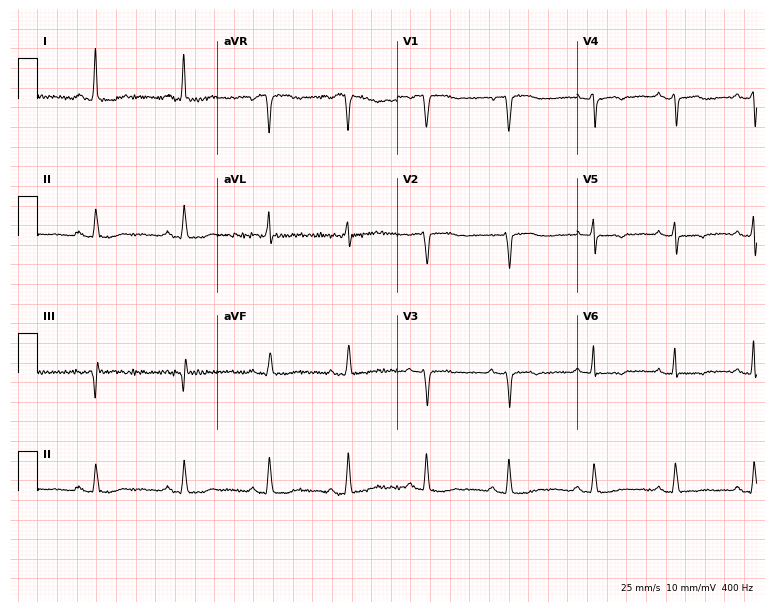
12-lead ECG from a woman, 66 years old. Screened for six findings — first-degree AV block, right bundle branch block, left bundle branch block, sinus bradycardia, atrial fibrillation, sinus tachycardia — none is recorded. Other findings, if any, are not listed.